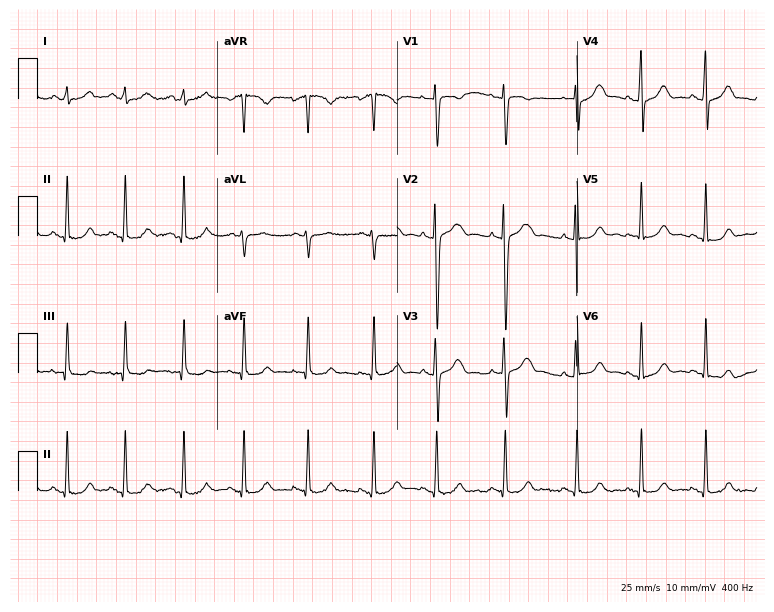
Standard 12-lead ECG recorded from a 21-year-old female. Read as a normal ECG.